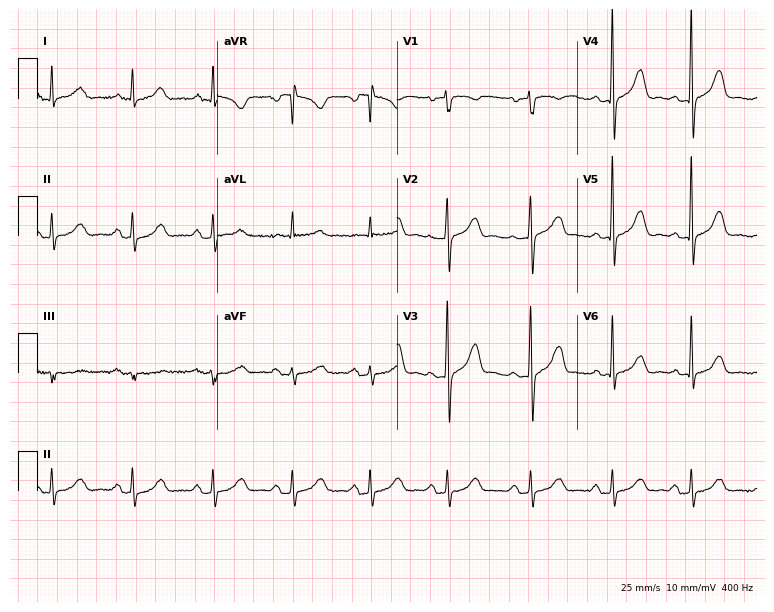
Standard 12-lead ECG recorded from a female patient, 52 years old (7.3-second recording at 400 Hz). None of these six findings is recorded: first-degree AV block, right bundle branch block, left bundle branch block, sinus bradycardia, atrial fibrillation, sinus tachycardia.